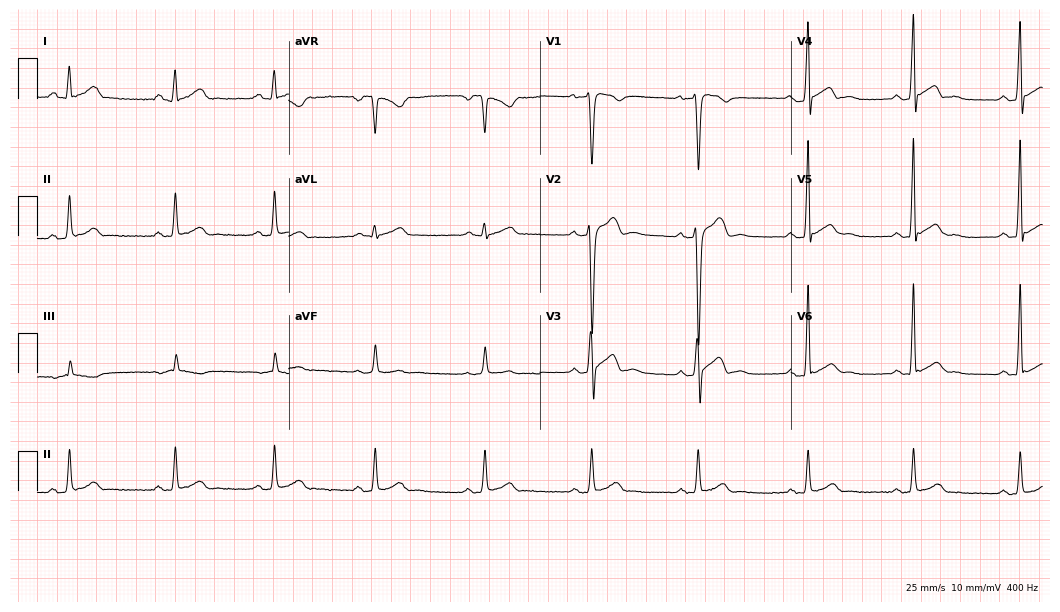
12-lead ECG from a man, 27 years old (10.2-second recording at 400 Hz). Recorded interpretation: within normal limits.